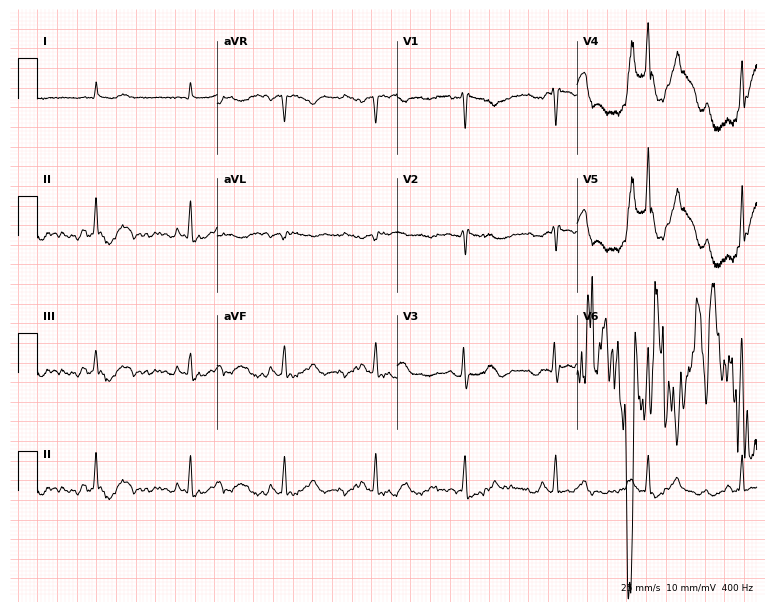
Electrocardiogram (7.3-second recording at 400 Hz), a 37-year-old woman. Of the six screened findings (first-degree AV block, right bundle branch block (RBBB), left bundle branch block (LBBB), sinus bradycardia, atrial fibrillation (AF), sinus tachycardia), none is recorded.